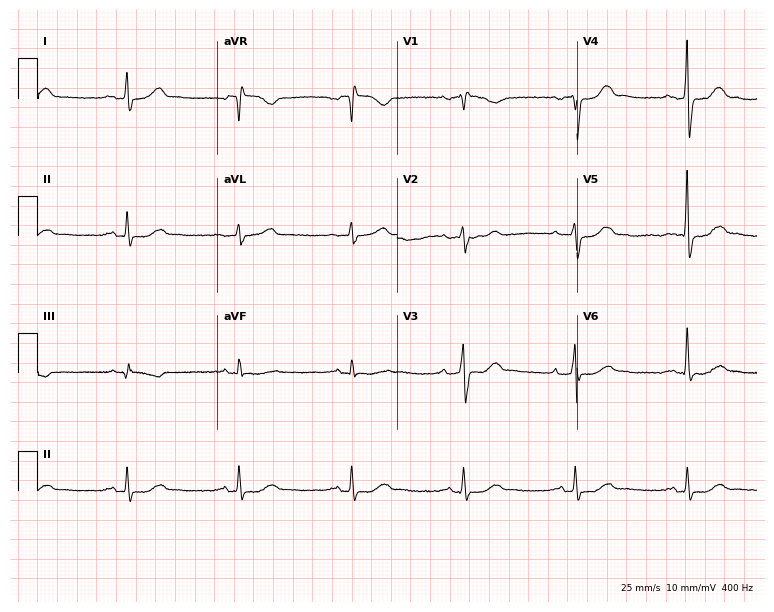
Electrocardiogram, a male, 73 years old. Overall reading on record: normal ECG.